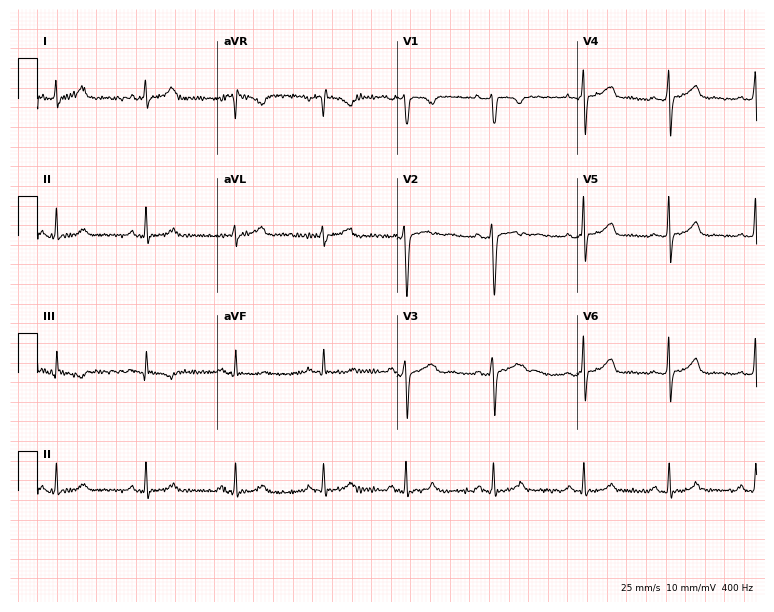
Standard 12-lead ECG recorded from a 28-year-old woman (7.3-second recording at 400 Hz). None of these six findings is recorded: first-degree AV block, right bundle branch block (RBBB), left bundle branch block (LBBB), sinus bradycardia, atrial fibrillation (AF), sinus tachycardia. Findings outside these six are not listed.